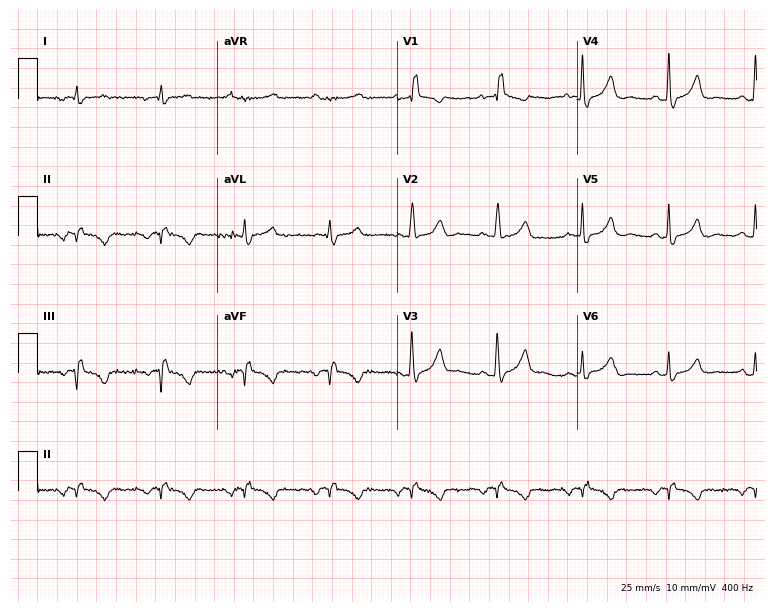
12-lead ECG (7.3-second recording at 400 Hz) from a female, 60 years old. Findings include right bundle branch block.